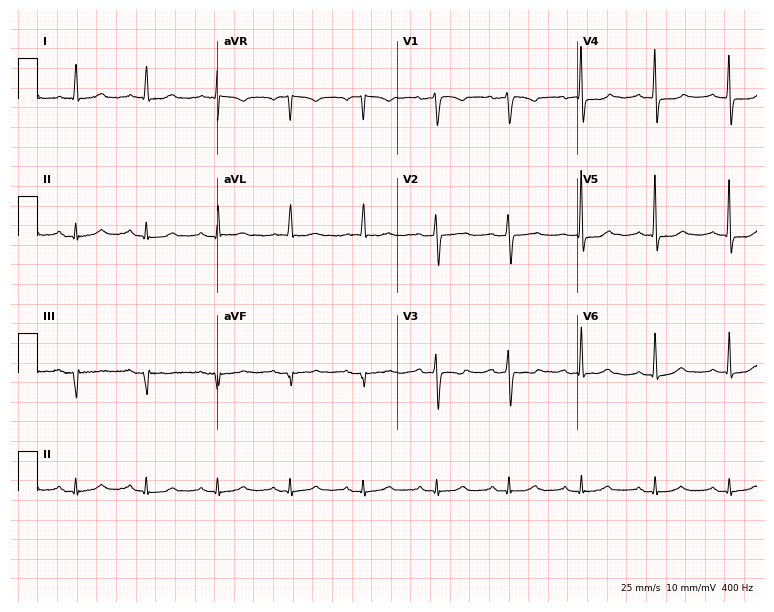
12-lead ECG (7.3-second recording at 400 Hz) from a 76-year-old female. Screened for six findings — first-degree AV block, right bundle branch block, left bundle branch block, sinus bradycardia, atrial fibrillation, sinus tachycardia — none is recorded. Findings outside these six are not listed.